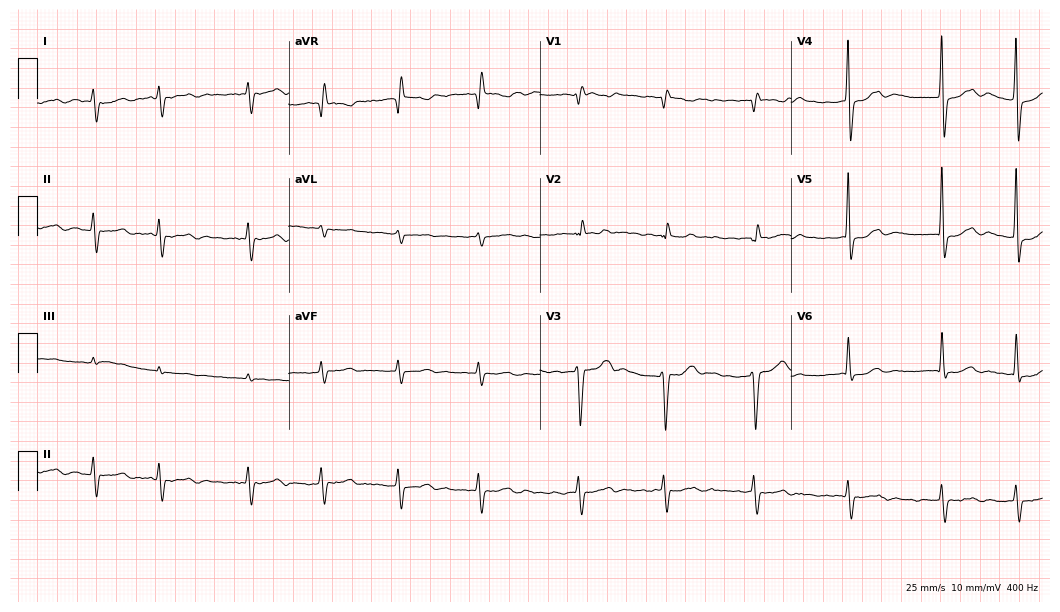
ECG (10.2-second recording at 400 Hz) — a male, 78 years old. Screened for six findings — first-degree AV block, right bundle branch block, left bundle branch block, sinus bradycardia, atrial fibrillation, sinus tachycardia — none is recorded. Other findings, if any, are not listed.